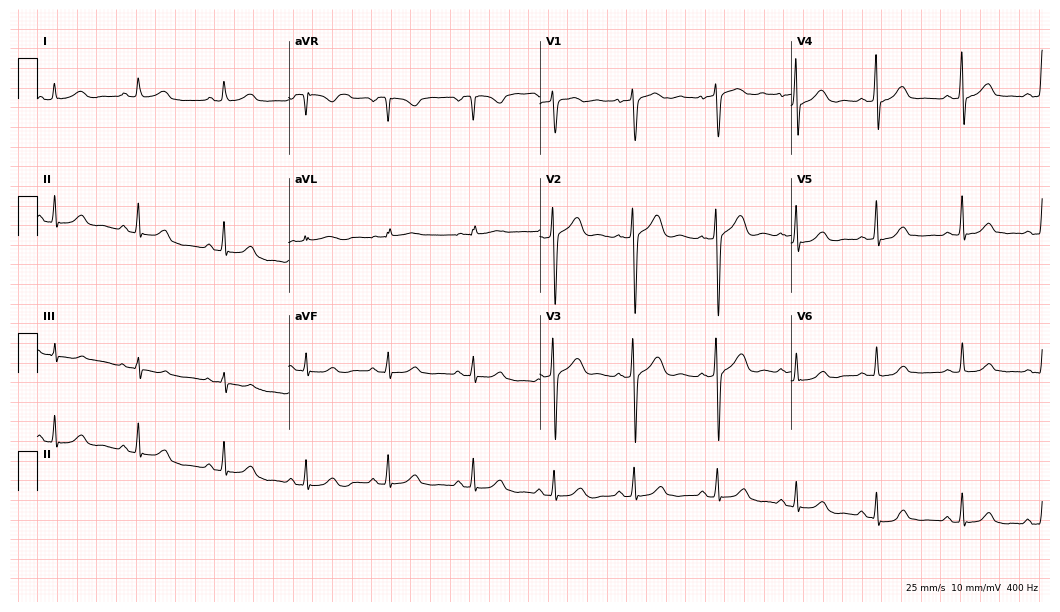
12-lead ECG (10.2-second recording at 400 Hz) from a woman, 47 years old. Labelled as a normal ECG.